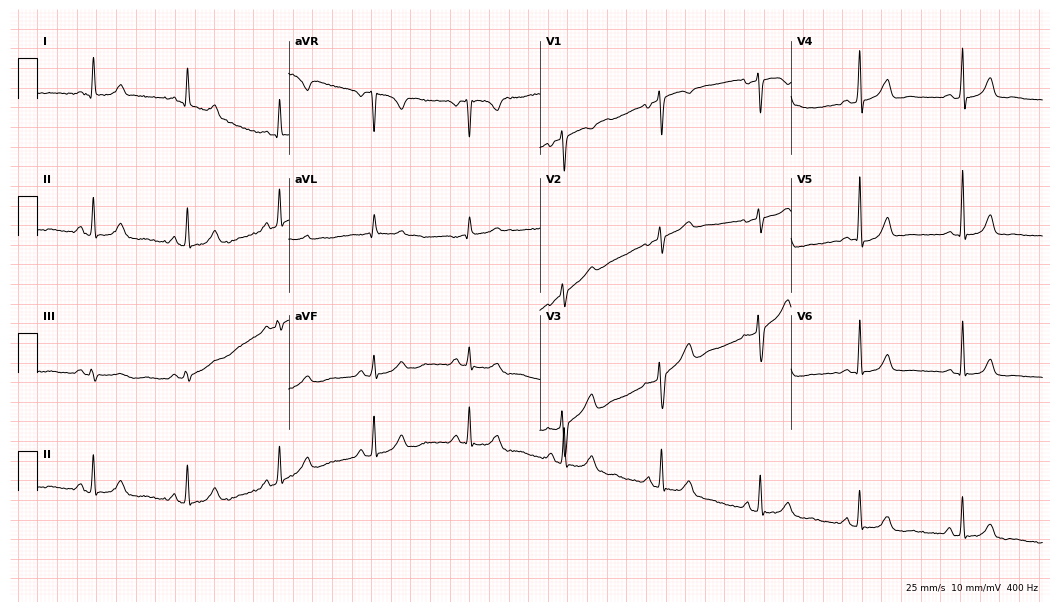
Resting 12-lead electrocardiogram. Patient: a 57-year-old female. None of these six findings is recorded: first-degree AV block, right bundle branch block, left bundle branch block, sinus bradycardia, atrial fibrillation, sinus tachycardia.